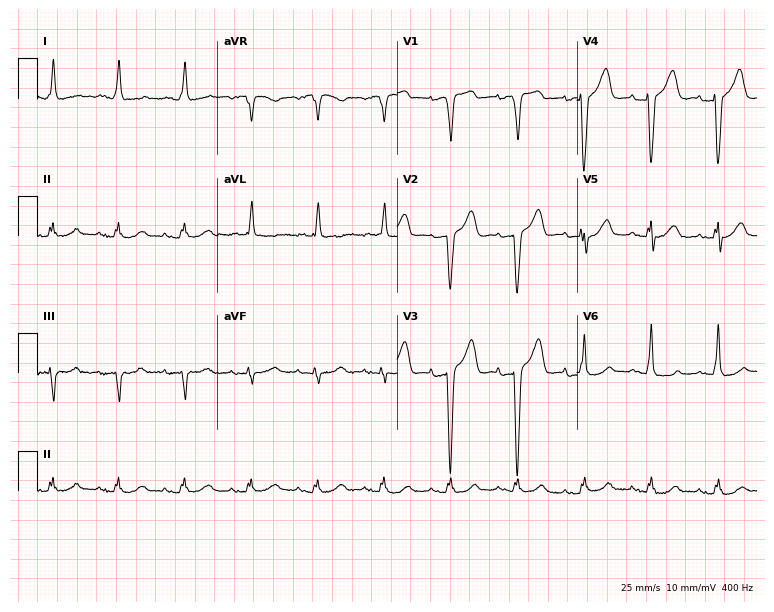
12-lead ECG (7.3-second recording at 400 Hz) from a 71-year-old female. Screened for six findings — first-degree AV block, right bundle branch block (RBBB), left bundle branch block (LBBB), sinus bradycardia, atrial fibrillation (AF), sinus tachycardia — none is recorded. Findings outside these six are not listed.